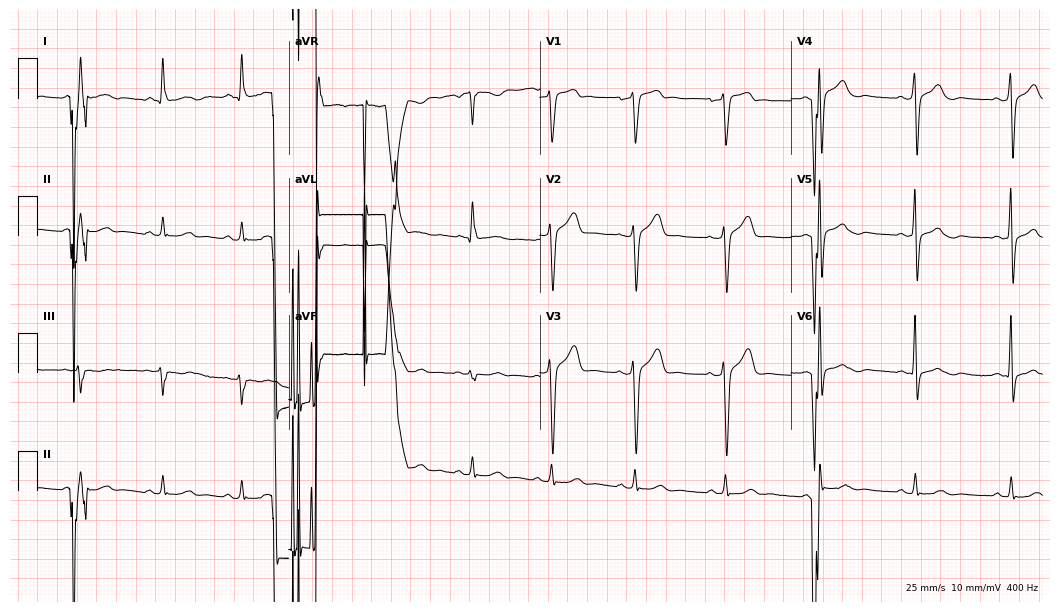
Standard 12-lead ECG recorded from a 54-year-old male (10.2-second recording at 400 Hz). Read as a normal ECG.